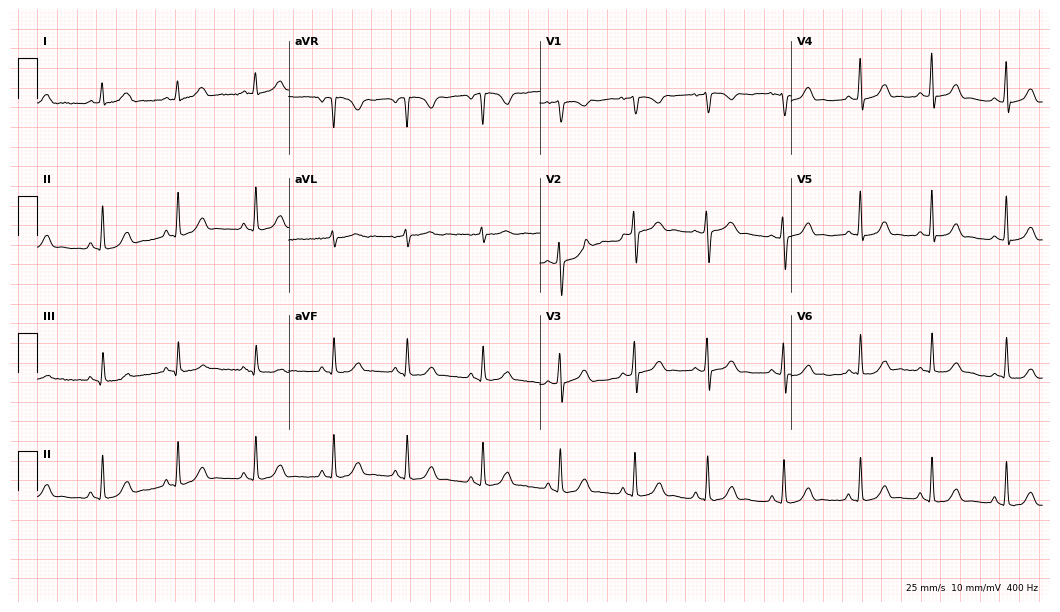
Resting 12-lead electrocardiogram (10.2-second recording at 400 Hz). Patient: a woman, 20 years old. Read as a normal ECG.